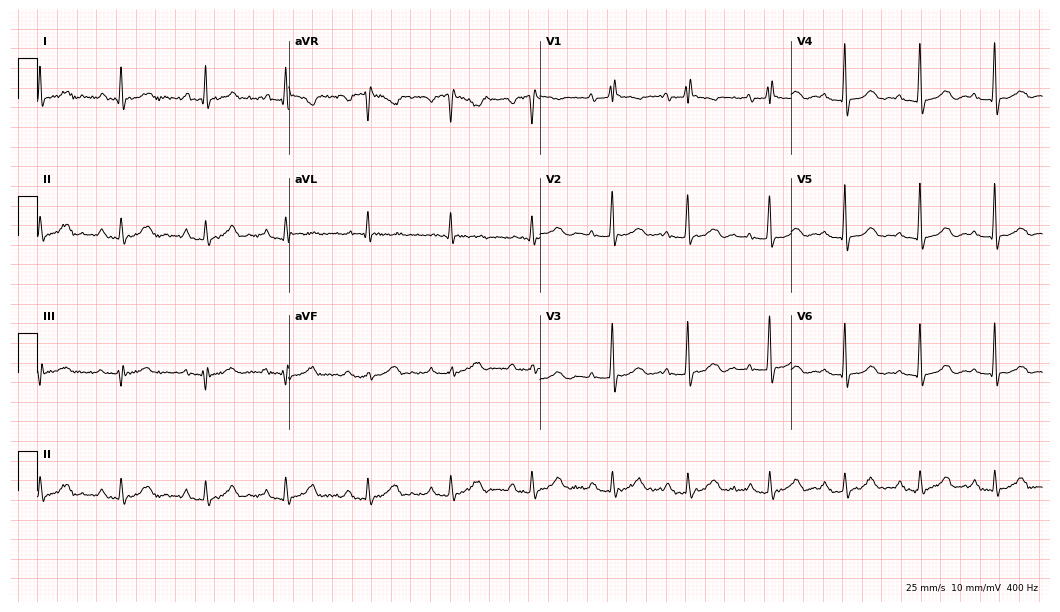
Resting 12-lead electrocardiogram (10.2-second recording at 400 Hz). Patient: a 72-year-old woman. The tracing shows first-degree AV block.